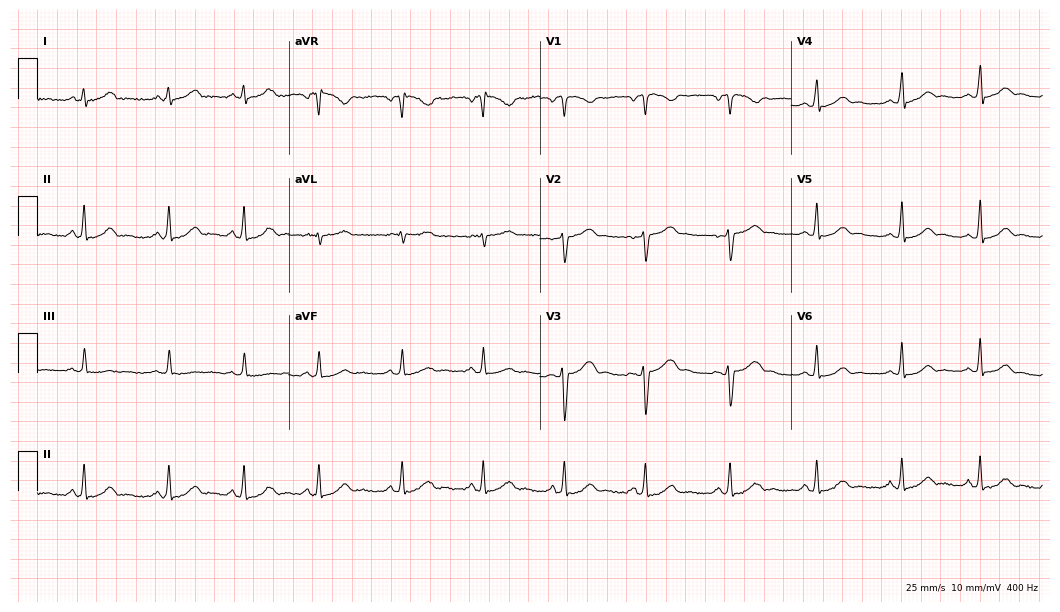
Standard 12-lead ECG recorded from a female patient, 32 years old. Read as a normal ECG.